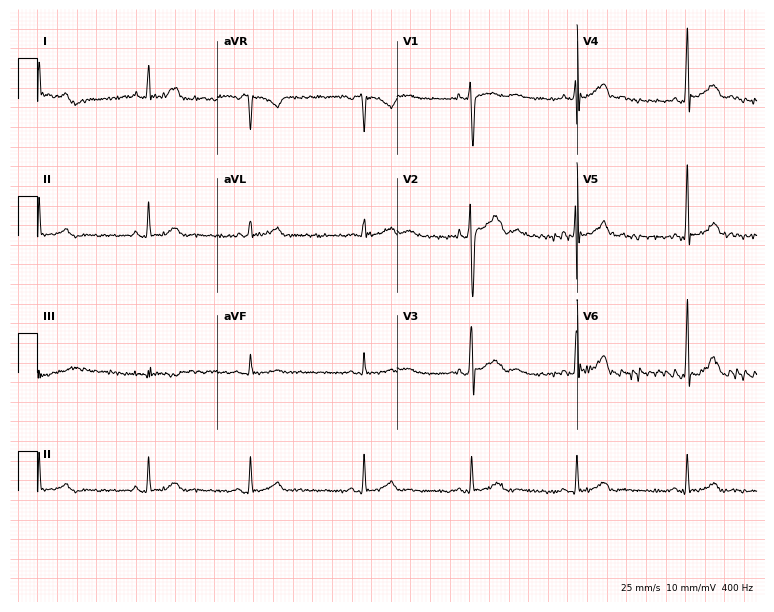
Electrocardiogram (7.3-second recording at 400 Hz), a 19-year-old man. Of the six screened findings (first-degree AV block, right bundle branch block (RBBB), left bundle branch block (LBBB), sinus bradycardia, atrial fibrillation (AF), sinus tachycardia), none is recorded. Only these six findings were labelled.